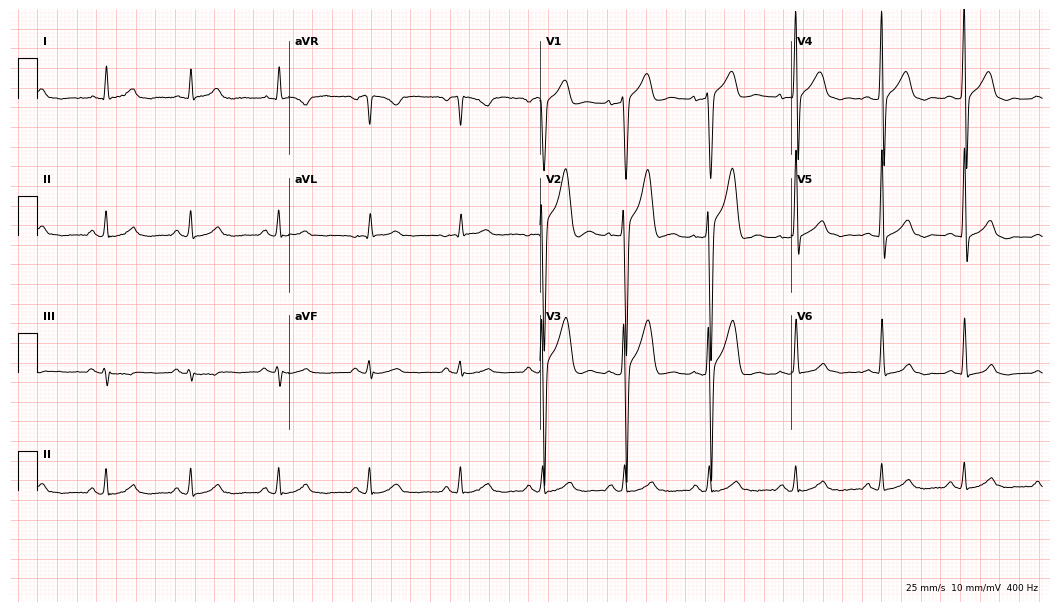
12-lead ECG from a 33-year-old man. Screened for six findings — first-degree AV block, right bundle branch block, left bundle branch block, sinus bradycardia, atrial fibrillation, sinus tachycardia — none is recorded.